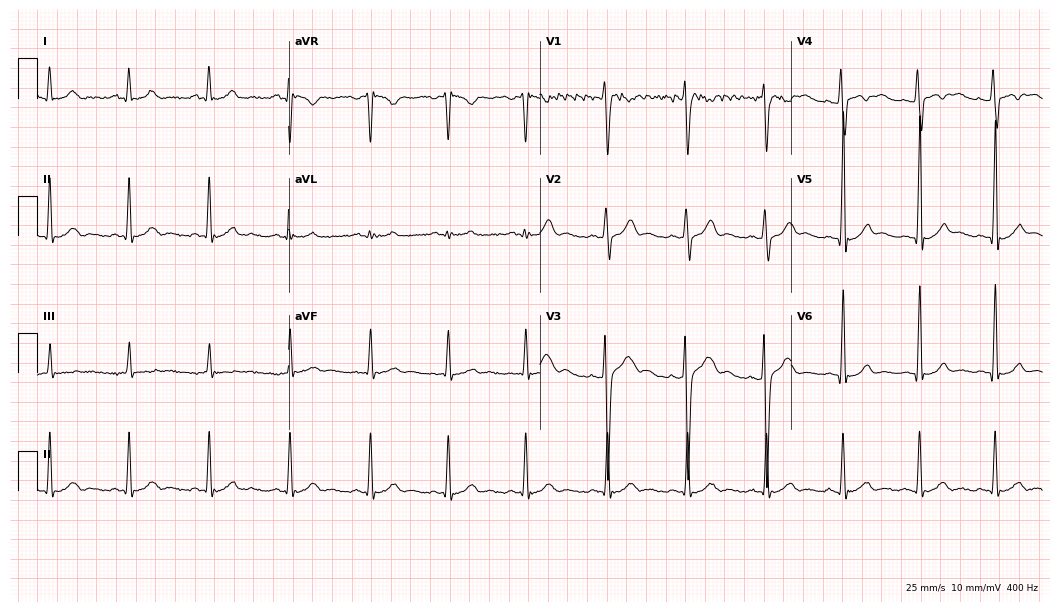
12-lead ECG (10.2-second recording at 400 Hz) from a 20-year-old male patient. Labelled as a normal ECG.